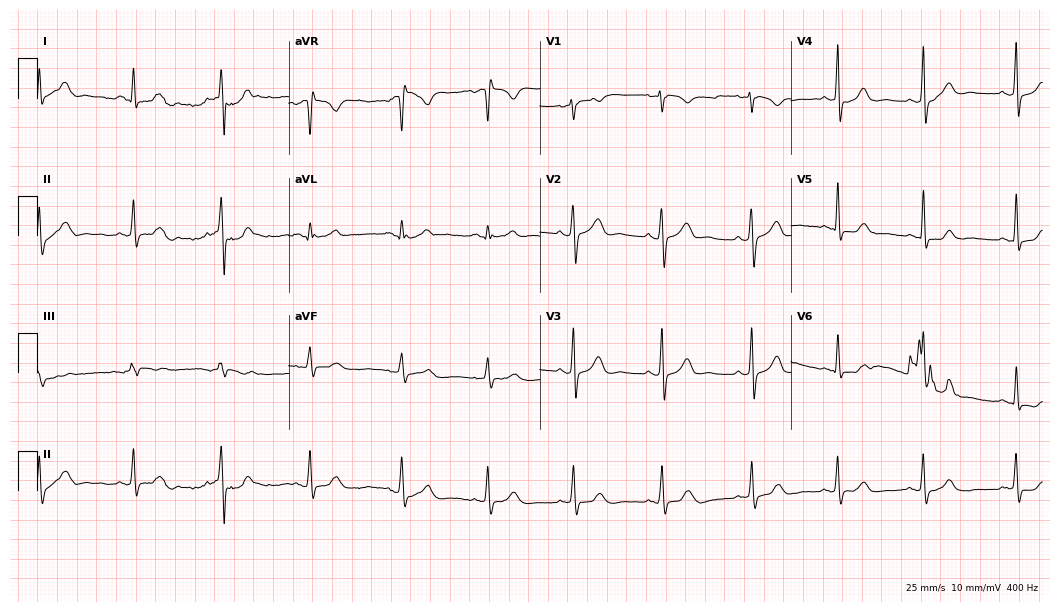
12-lead ECG from a woman, 37 years old (10.2-second recording at 400 Hz). Recorded interpretation: within normal limits.